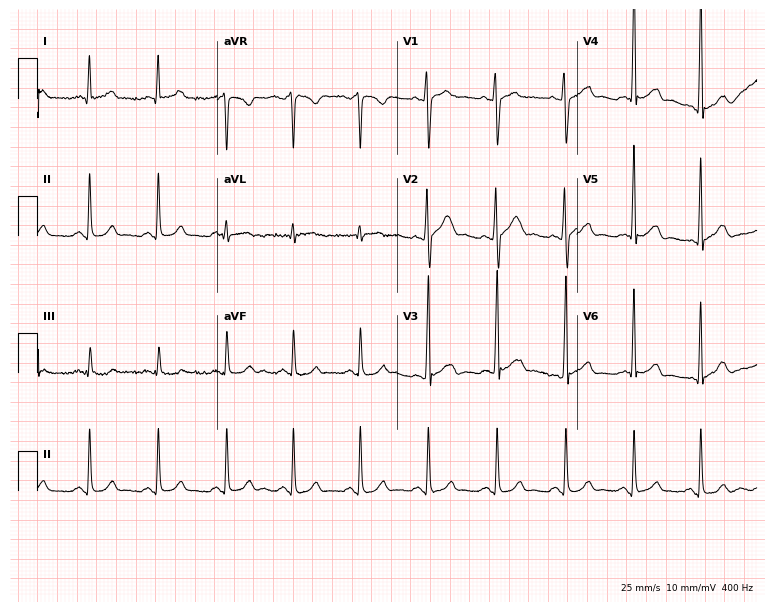
Electrocardiogram (7.3-second recording at 400 Hz), a man, 42 years old. Of the six screened findings (first-degree AV block, right bundle branch block, left bundle branch block, sinus bradycardia, atrial fibrillation, sinus tachycardia), none is recorded. Other findings, if any, are not listed.